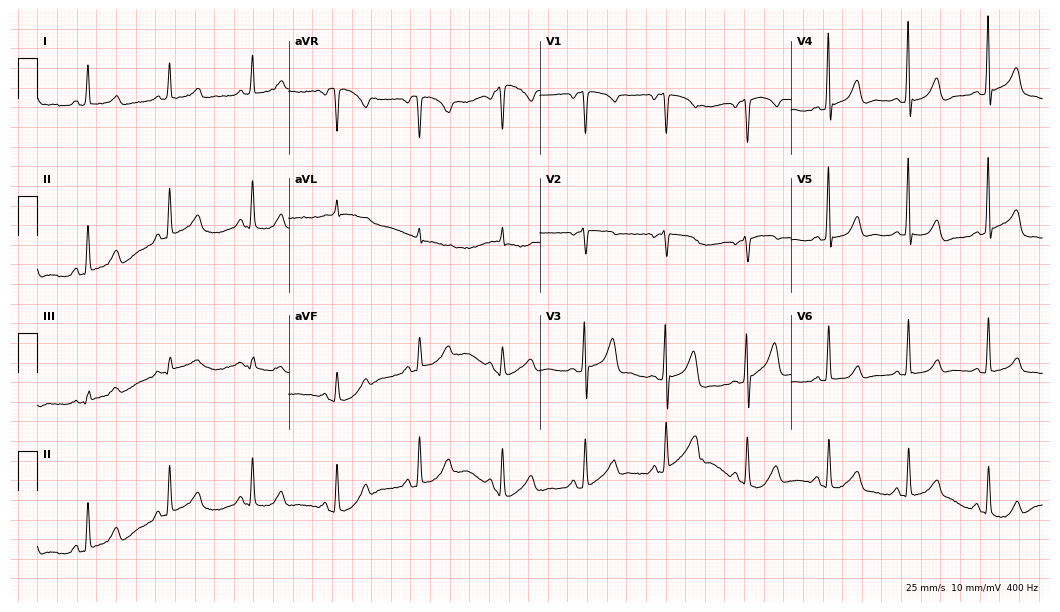
12-lead ECG from a woman, 31 years old. Recorded interpretation: within normal limits.